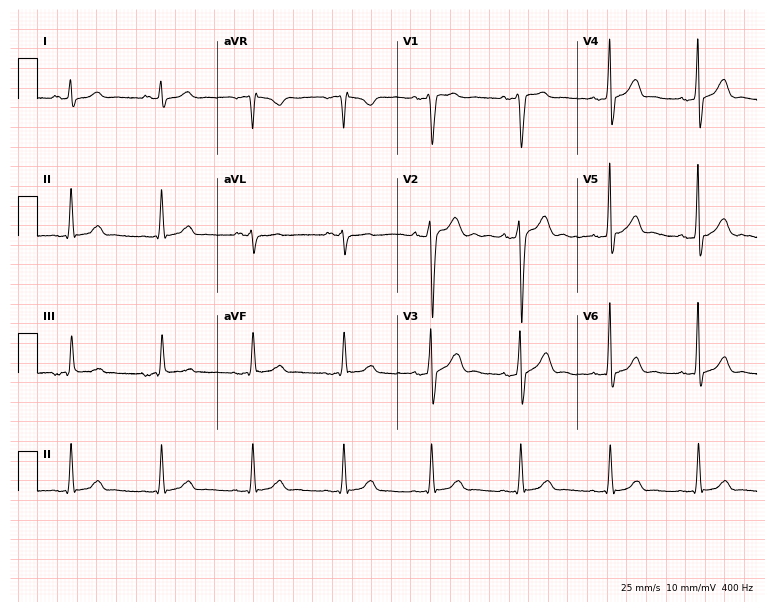
12-lead ECG from a male patient, 29 years old. No first-degree AV block, right bundle branch block, left bundle branch block, sinus bradycardia, atrial fibrillation or sinus tachycardia recorded for this tracing.